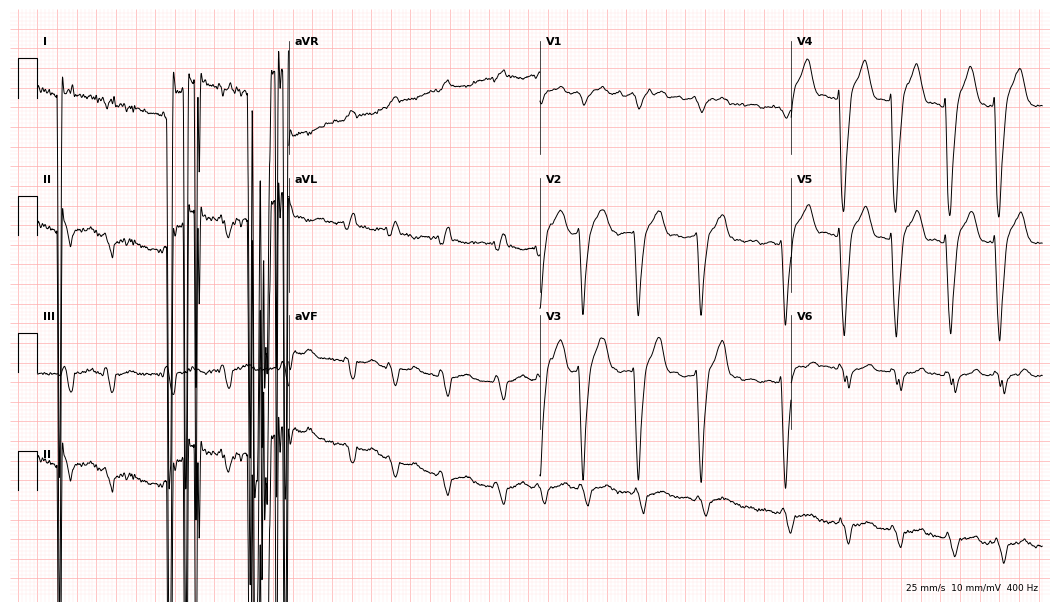
12-lead ECG from a 79-year-old male patient. No first-degree AV block, right bundle branch block (RBBB), left bundle branch block (LBBB), sinus bradycardia, atrial fibrillation (AF) or sinus tachycardia recorded for this tracing.